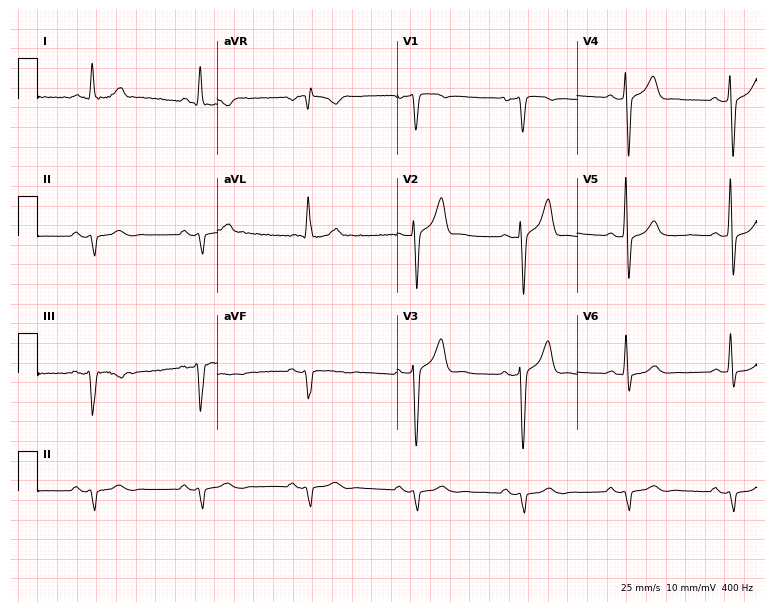
ECG (7.3-second recording at 400 Hz) — a 53-year-old male. Screened for six findings — first-degree AV block, right bundle branch block (RBBB), left bundle branch block (LBBB), sinus bradycardia, atrial fibrillation (AF), sinus tachycardia — none is recorded. Only these six findings were labelled.